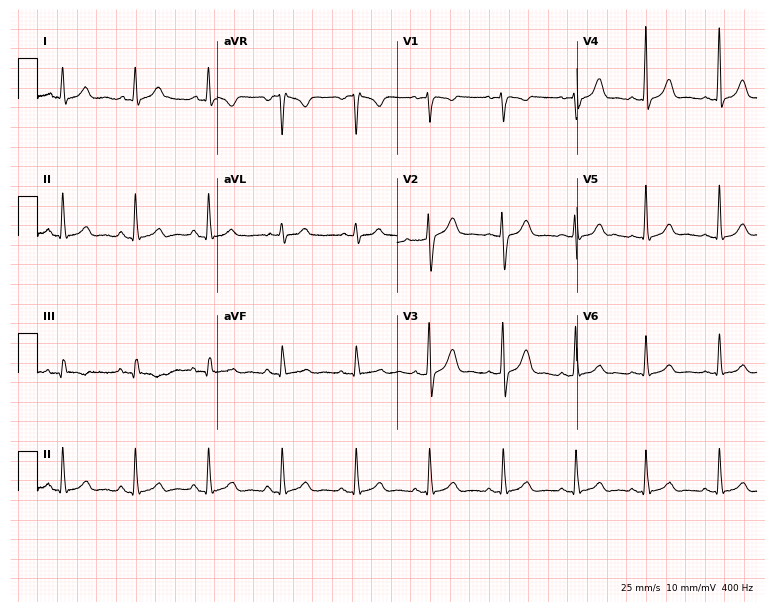
Resting 12-lead electrocardiogram (7.3-second recording at 400 Hz). Patient: a female, 19 years old. Read as a normal ECG.